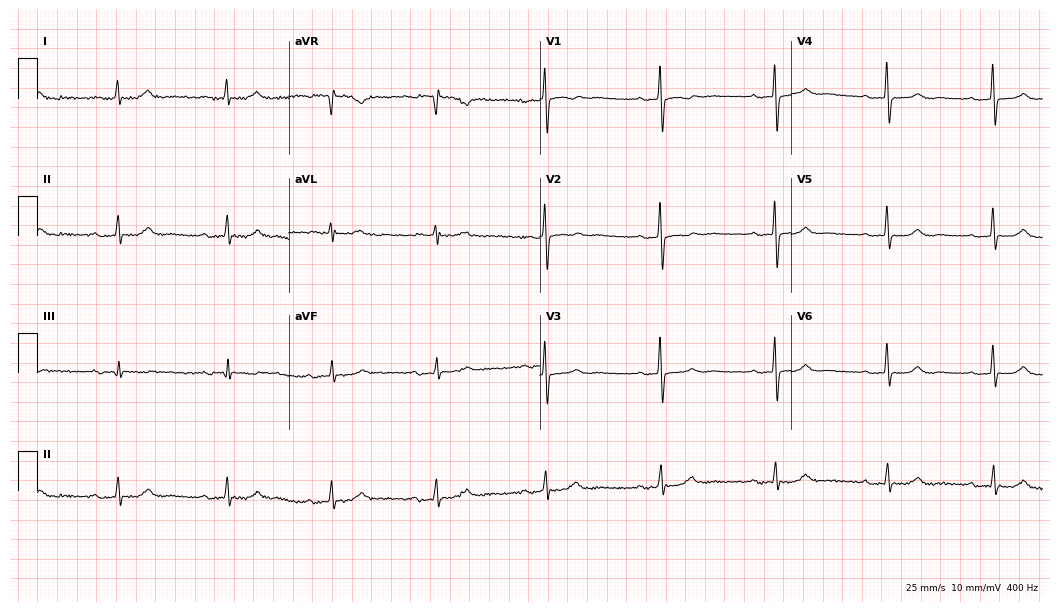
Electrocardiogram, a female patient, 70 years old. Of the six screened findings (first-degree AV block, right bundle branch block, left bundle branch block, sinus bradycardia, atrial fibrillation, sinus tachycardia), none is recorded. Other findings, if any, are not listed.